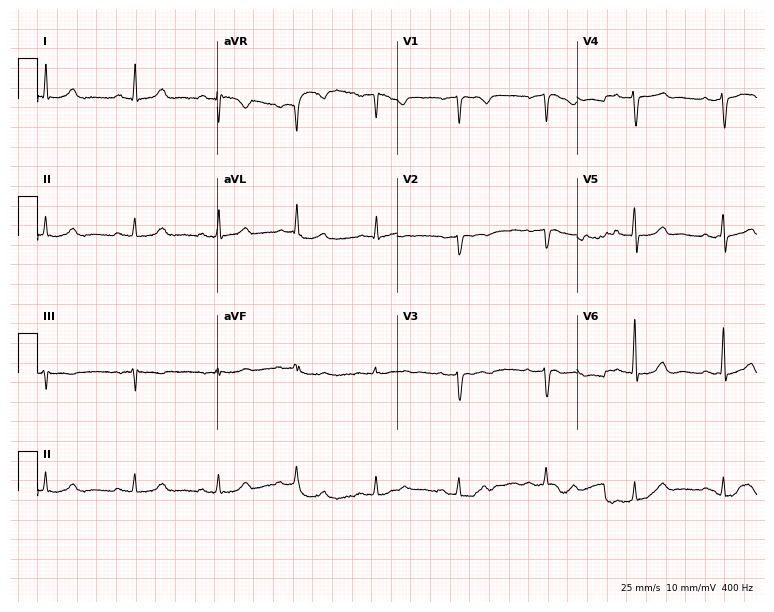
ECG (7.3-second recording at 400 Hz) — a 63-year-old woman. Screened for six findings — first-degree AV block, right bundle branch block (RBBB), left bundle branch block (LBBB), sinus bradycardia, atrial fibrillation (AF), sinus tachycardia — none is recorded. Findings outside these six are not listed.